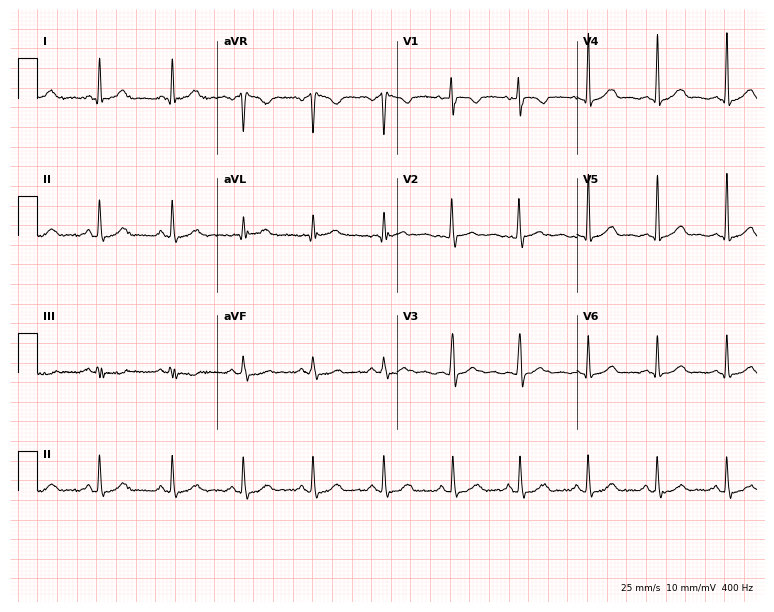
Standard 12-lead ECG recorded from a 24-year-old woman. Read as a normal ECG.